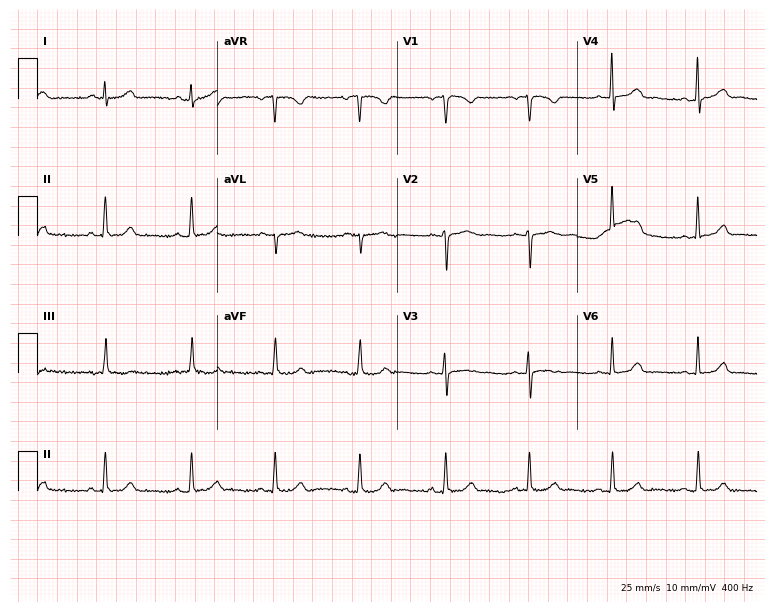
Resting 12-lead electrocardiogram (7.3-second recording at 400 Hz). Patient: a female, 34 years old. Read as a normal ECG.